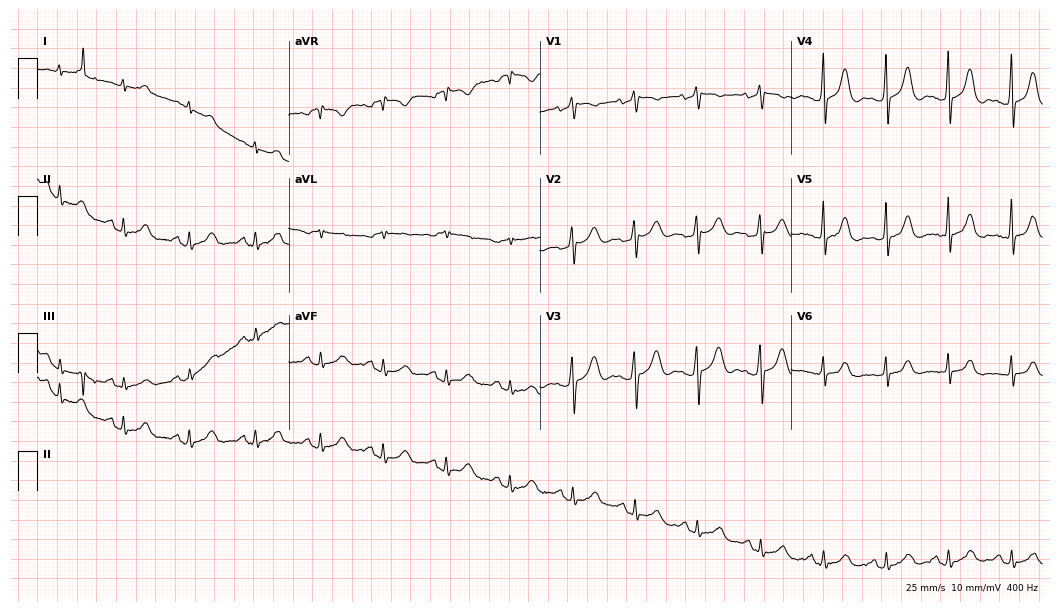
12-lead ECG from a woman, 70 years old. Labelled as a normal ECG.